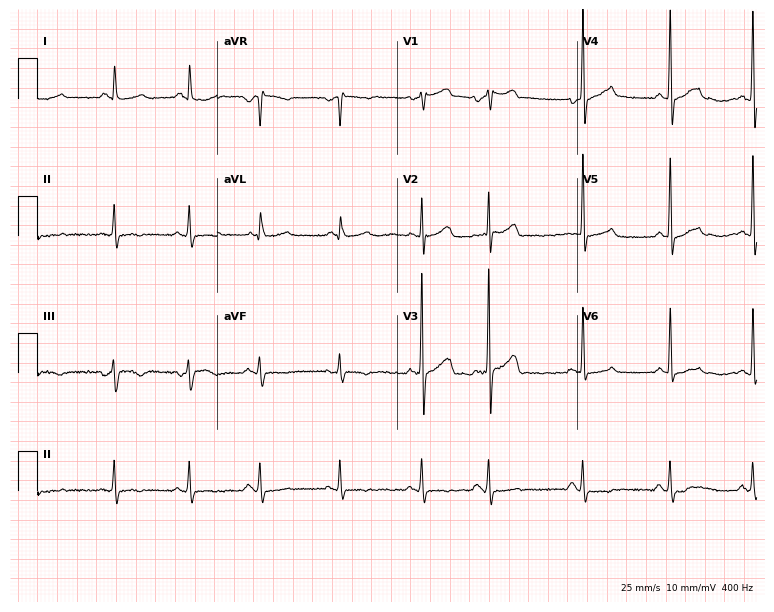
ECG (7.3-second recording at 400 Hz) — a 61-year-old male patient. Screened for six findings — first-degree AV block, right bundle branch block (RBBB), left bundle branch block (LBBB), sinus bradycardia, atrial fibrillation (AF), sinus tachycardia — none is recorded.